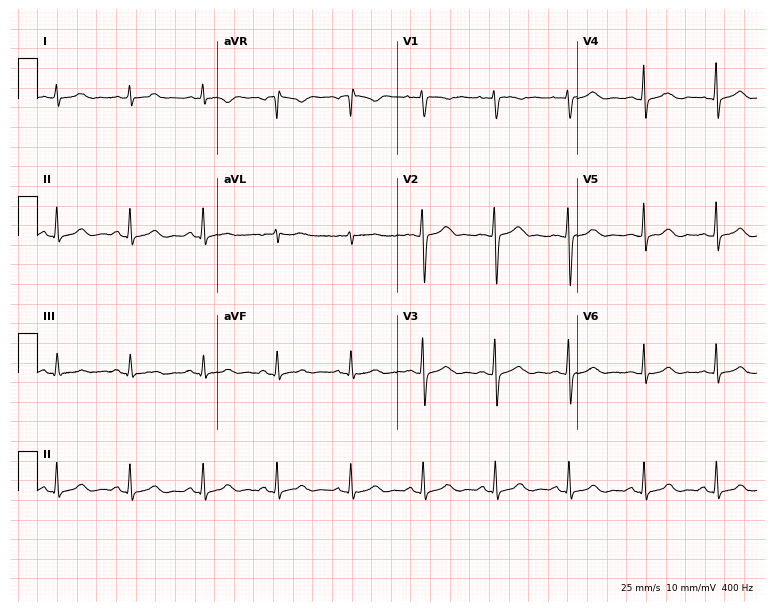
ECG — a female patient, 37 years old. Labelled as a normal ECG.